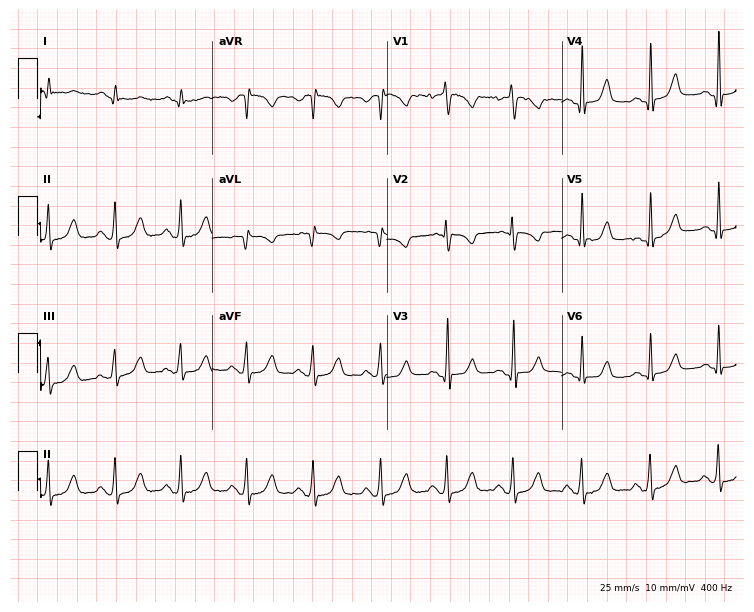
Resting 12-lead electrocardiogram (7.1-second recording at 400 Hz). Patient: a woman, 26 years old. None of these six findings is recorded: first-degree AV block, right bundle branch block, left bundle branch block, sinus bradycardia, atrial fibrillation, sinus tachycardia. Other findings, if any, are not listed.